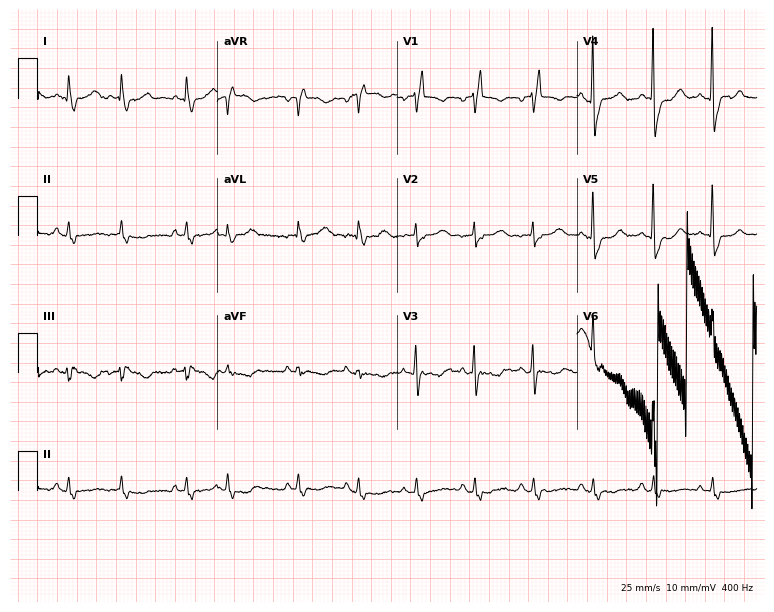
12-lead ECG from a woman, 85 years old. Findings include right bundle branch block (RBBB).